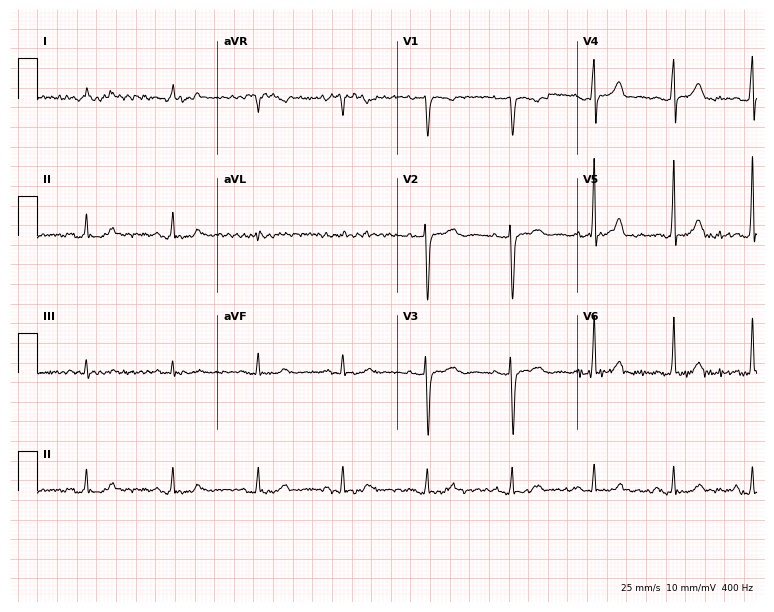
ECG — a female, 56 years old. Labelled as a normal ECG.